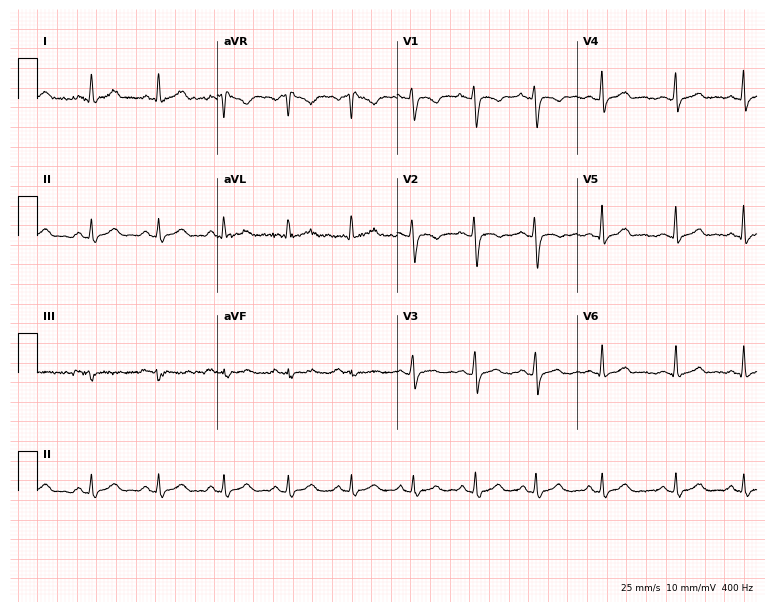
Standard 12-lead ECG recorded from a 34-year-old woman (7.3-second recording at 400 Hz). Read as a normal ECG.